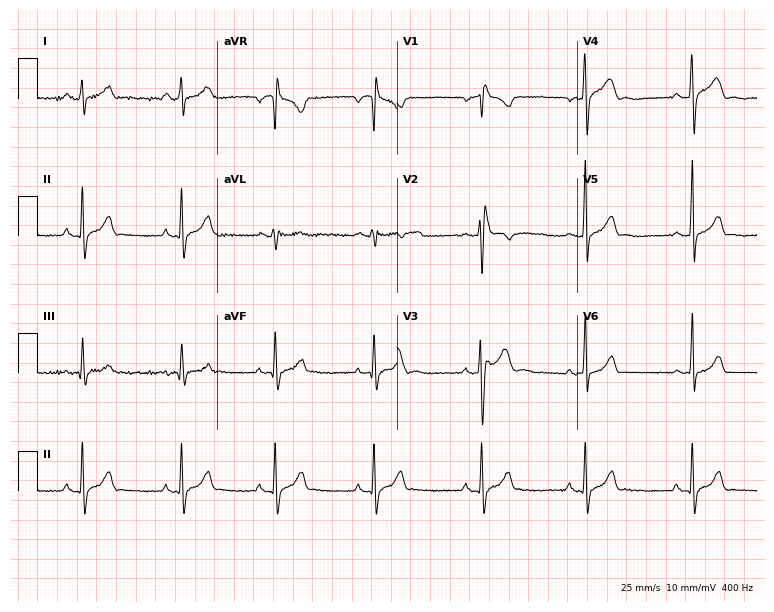
12-lead ECG from a man, 25 years old. No first-degree AV block, right bundle branch block (RBBB), left bundle branch block (LBBB), sinus bradycardia, atrial fibrillation (AF) or sinus tachycardia recorded for this tracing. Only these six findings were labelled.